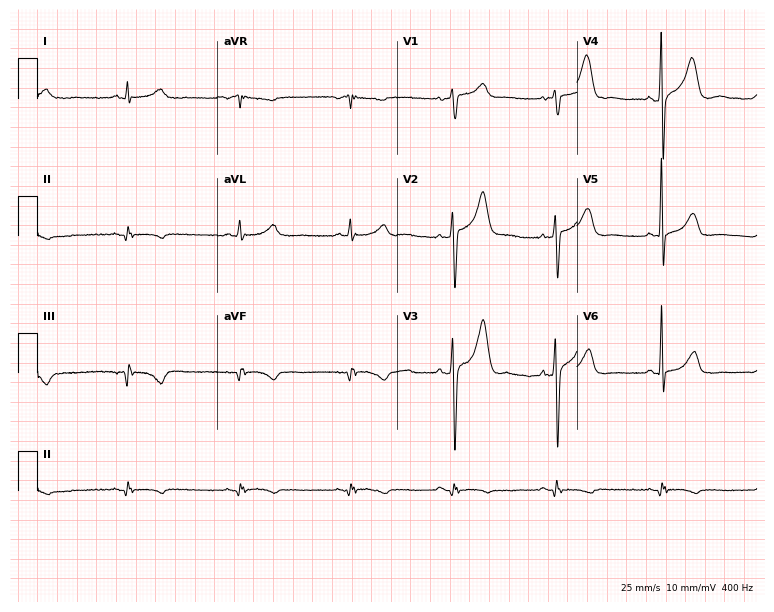
Standard 12-lead ECG recorded from a man, 76 years old (7.3-second recording at 400 Hz). None of these six findings is recorded: first-degree AV block, right bundle branch block (RBBB), left bundle branch block (LBBB), sinus bradycardia, atrial fibrillation (AF), sinus tachycardia.